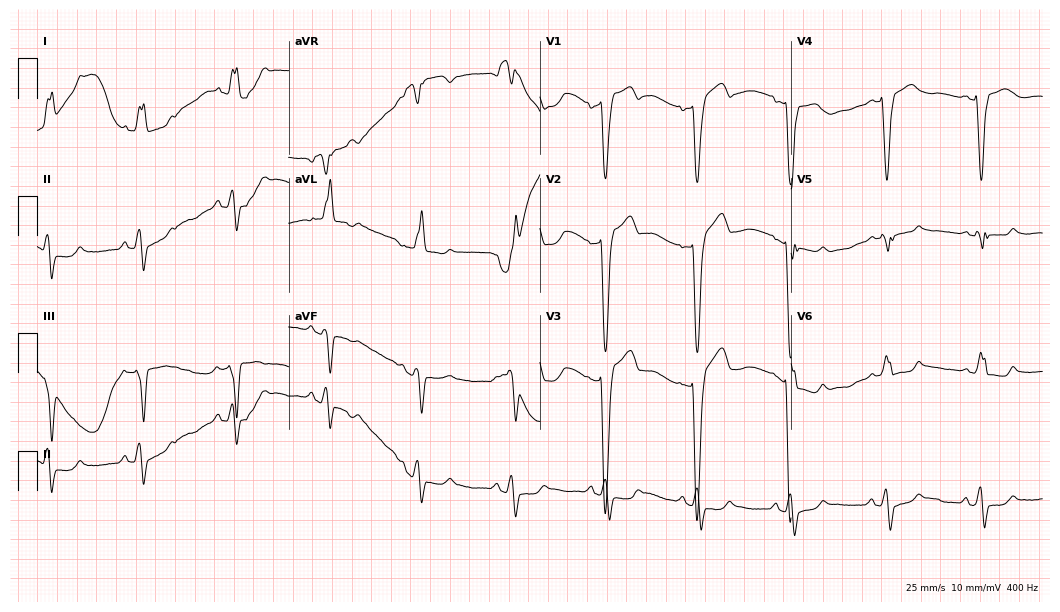
Electrocardiogram (10.2-second recording at 400 Hz), a woman, 40 years old. Of the six screened findings (first-degree AV block, right bundle branch block, left bundle branch block, sinus bradycardia, atrial fibrillation, sinus tachycardia), none is recorded.